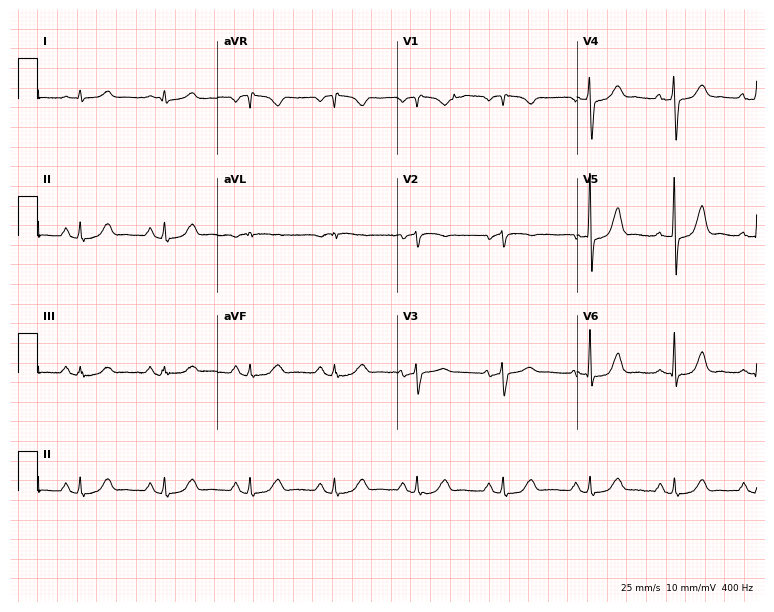
Standard 12-lead ECG recorded from a woman, 59 years old. None of these six findings is recorded: first-degree AV block, right bundle branch block, left bundle branch block, sinus bradycardia, atrial fibrillation, sinus tachycardia. Other findings, if any, are not listed.